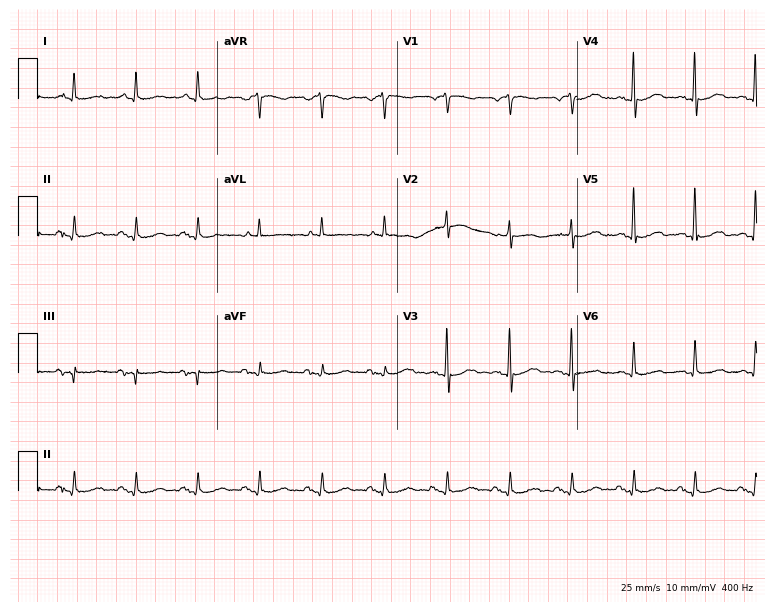
12-lead ECG from a 70-year-old male patient (7.3-second recording at 400 Hz). No first-degree AV block, right bundle branch block (RBBB), left bundle branch block (LBBB), sinus bradycardia, atrial fibrillation (AF) or sinus tachycardia recorded for this tracing. Findings outside these six are not listed.